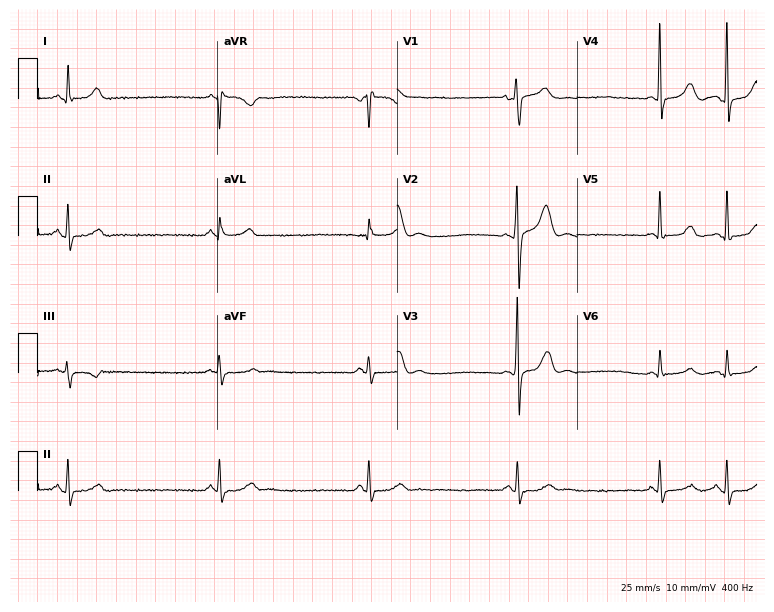
Electrocardiogram (7.3-second recording at 400 Hz), a 72-year-old male. Interpretation includes sinus bradycardia (a sinus rate of 50 beats per minute or less).